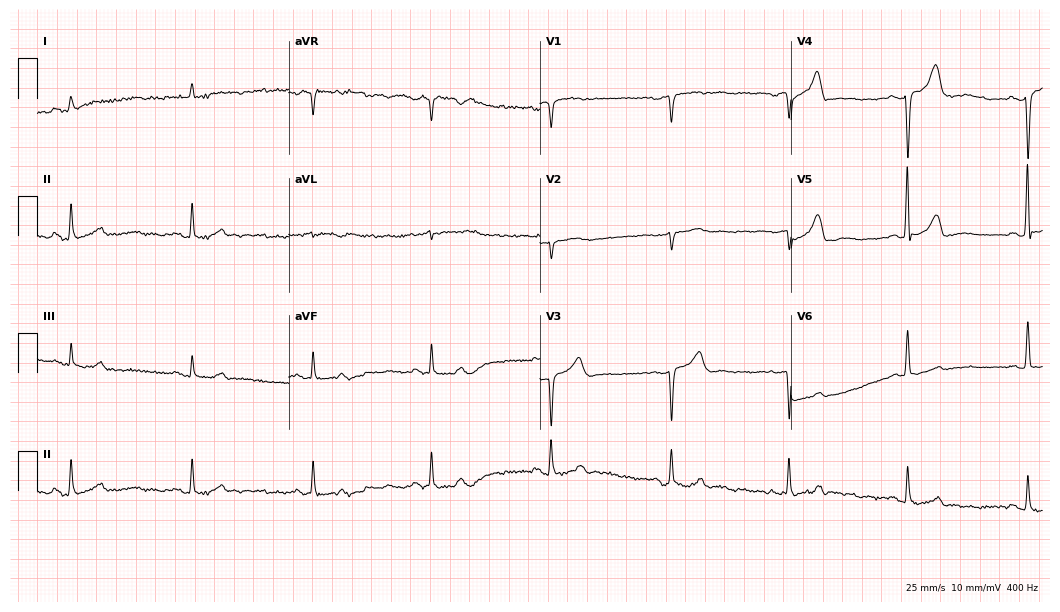
12-lead ECG (10.2-second recording at 400 Hz) from a male patient, 85 years old. Screened for six findings — first-degree AV block, right bundle branch block, left bundle branch block, sinus bradycardia, atrial fibrillation, sinus tachycardia — none is recorded. Other findings, if any, are not listed.